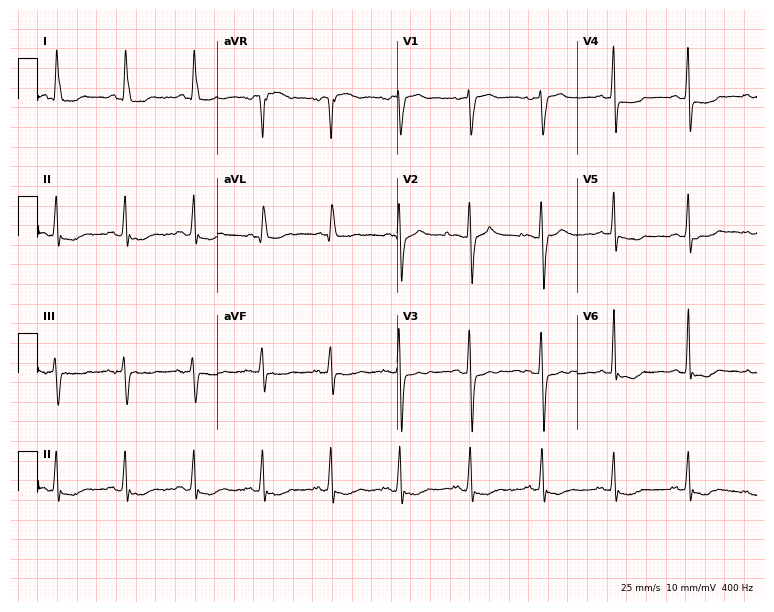
12-lead ECG (7.3-second recording at 400 Hz) from a female patient, 53 years old. Screened for six findings — first-degree AV block, right bundle branch block, left bundle branch block, sinus bradycardia, atrial fibrillation, sinus tachycardia — none is recorded. Only these six findings were labelled.